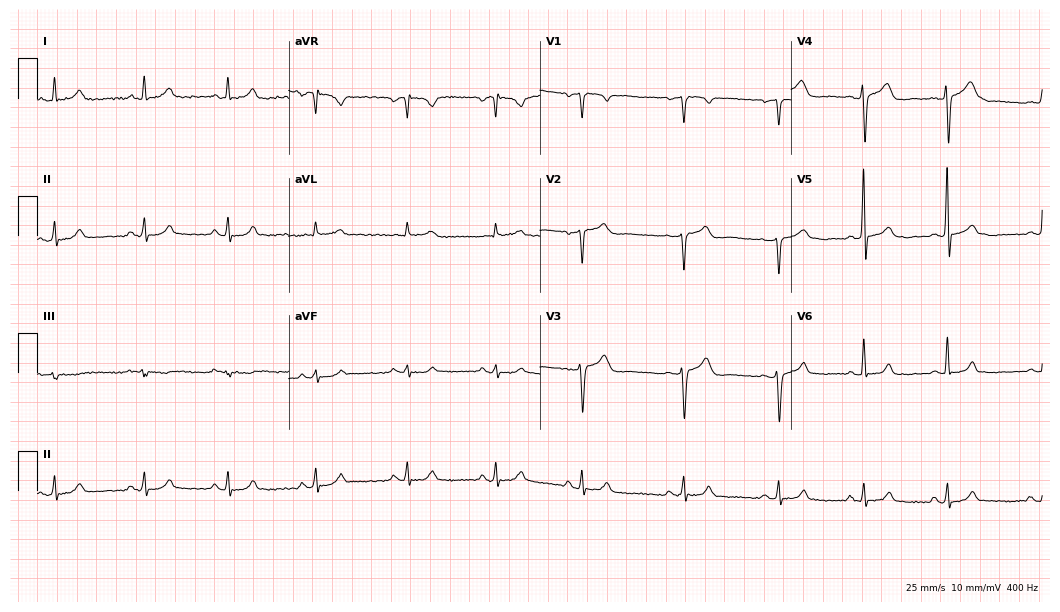
Resting 12-lead electrocardiogram (10.2-second recording at 400 Hz). Patient: a 48-year-old man. Read as a normal ECG.